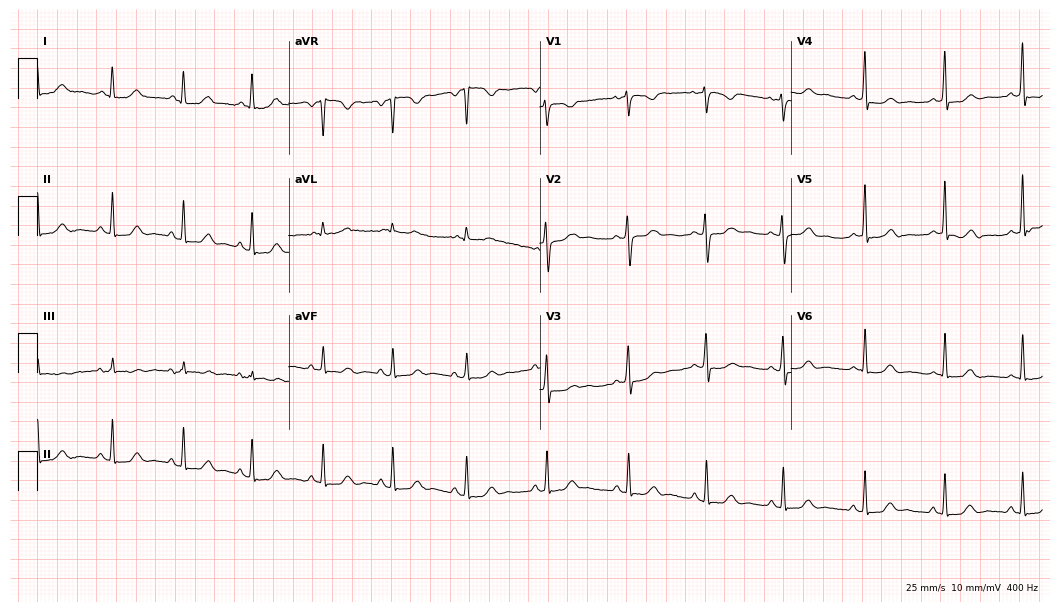
12-lead ECG (10.2-second recording at 400 Hz) from a 24-year-old female. Labelled as a normal ECG.